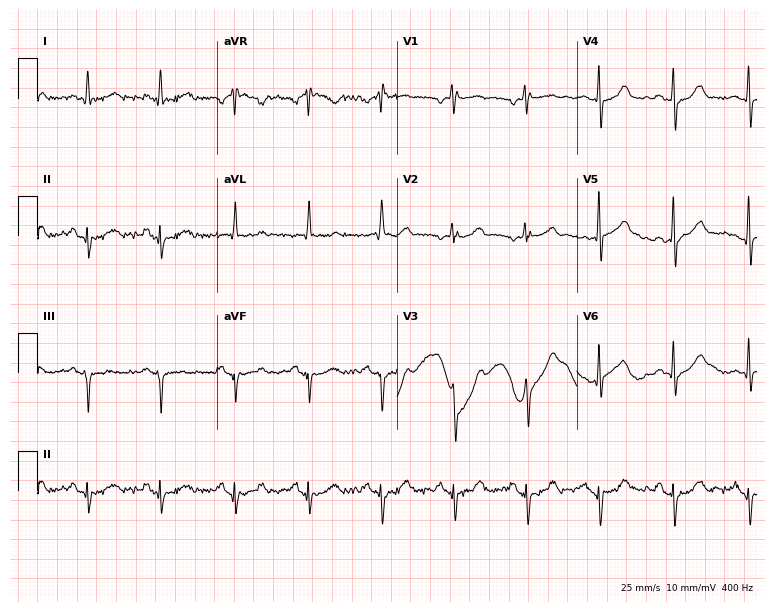
Resting 12-lead electrocardiogram. Patient: a 74-year-old woman. None of these six findings is recorded: first-degree AV block, right bundle branch block, left bundle branch block, sinus bradycardia, atrial fibrillation, sinus tachycardia.